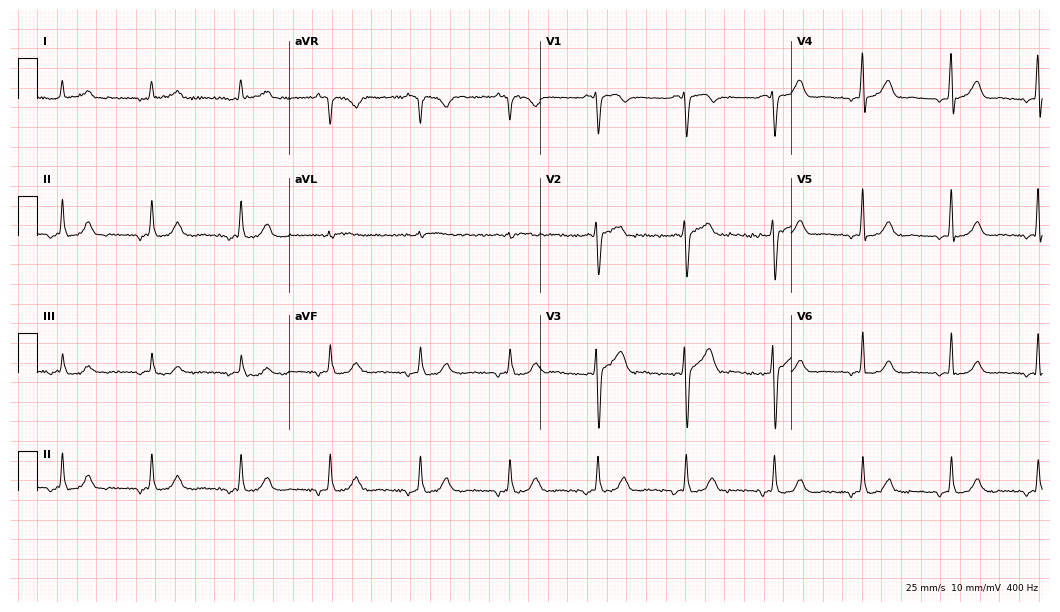
ECG (10.2-second recording at 400 Hz) — a male, 59 years old. Screened for six findings — first-degree AV block, right bundle branch block, left bundle branch block, sinus bradycardia, atrial fibrillation, sinus tachycardia — none is recorded.